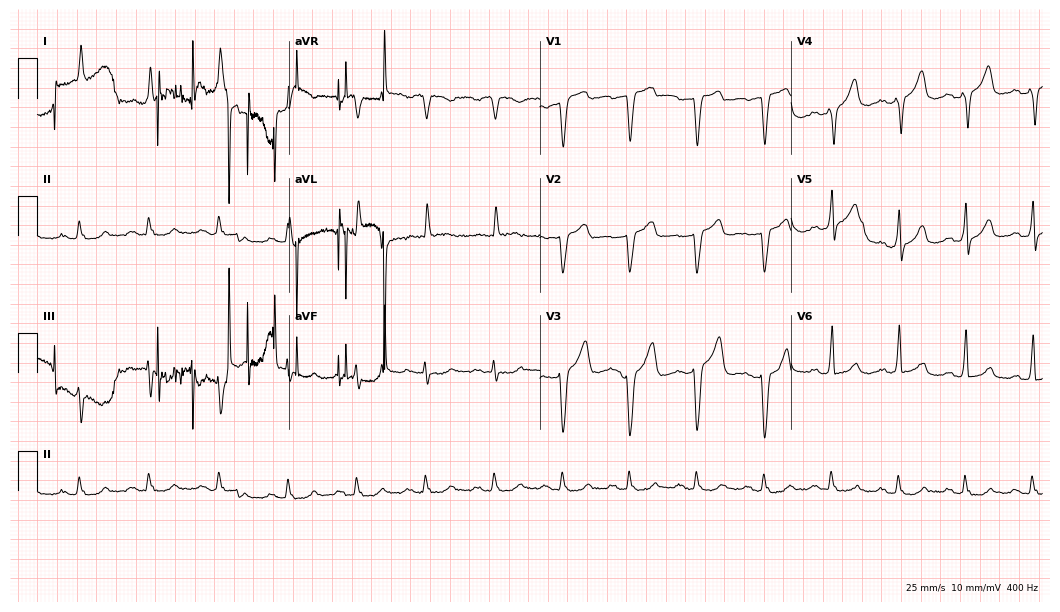
ECG — a male patient, 61 years old. Screened for six findings — first-degree AV block, right bundle branch block, left bundle branch block, sinus bradycardia, atrial fibrillation, sinus tachycardia — none is recorded. Other findings, if any, are not listed.